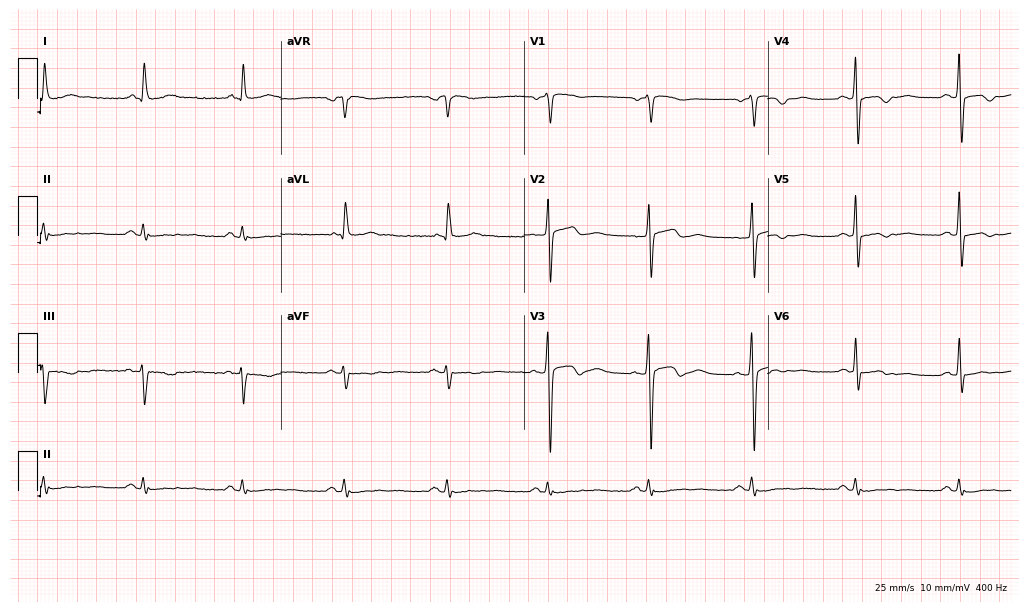
ECG — a 65-year-old man. Screened for six findings — first-degree AV block, right bundle branch block, left bundle branch block, sinus bradycardia, atrial fibrillation, sinus tachycardia — none is recorded.